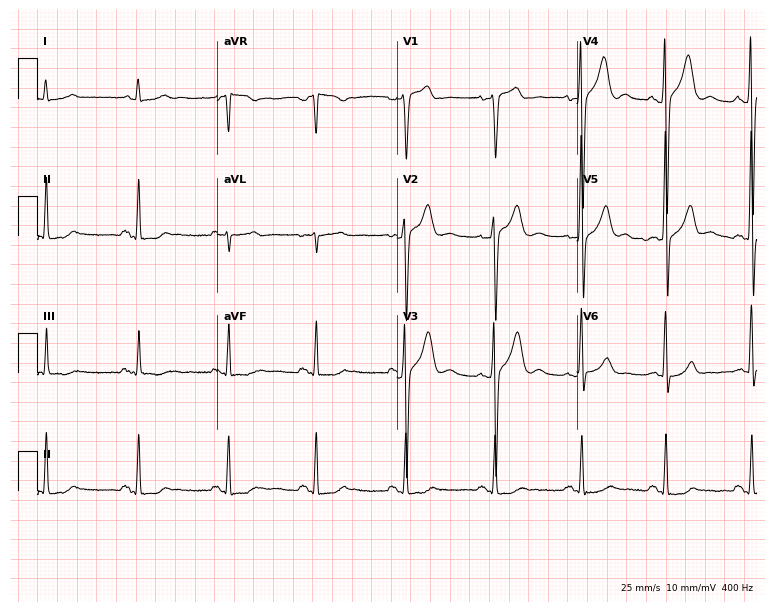
12-lead ECG (7.3-second recording at 400 Hz) from a 52-year-old male. Screened for six findings — first-degree AV block, right bundle branch block, left bundle branch block, sinus bradycardia, atrial fibrillation, sinus tachycardia — none is recorded.